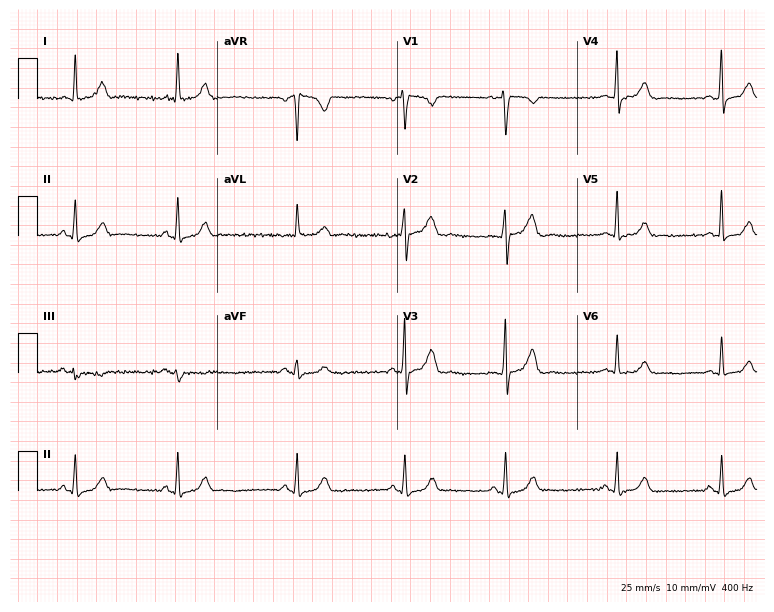
Standard 12-lead ECG recorded from a woman, 35 years old (7.3-second recording at 400 Hz). Read as a normal ECG.